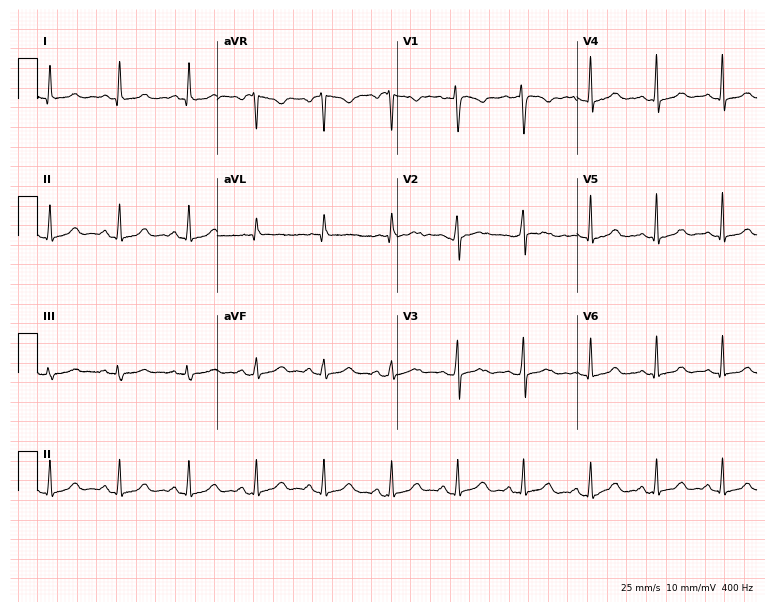
Standard 12-lead ECG recorded from a female, 49 years old. Read as a normal ECG.